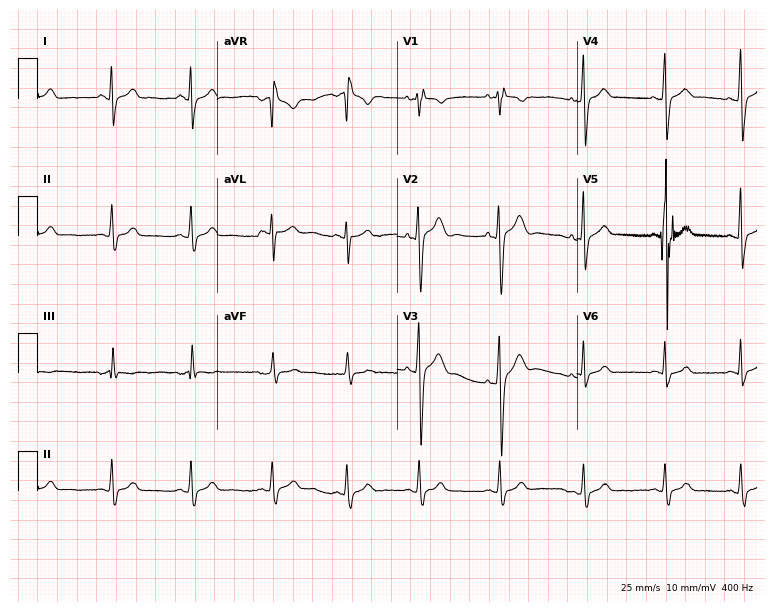
Electrocardiogram, a 20-year-old man. Of the six screened findings (first-degree AV block, right bundle branch block, left bundle branch block, sinus bradycardia, atrial fibrillation, sinus tachycardia), none is recorded.